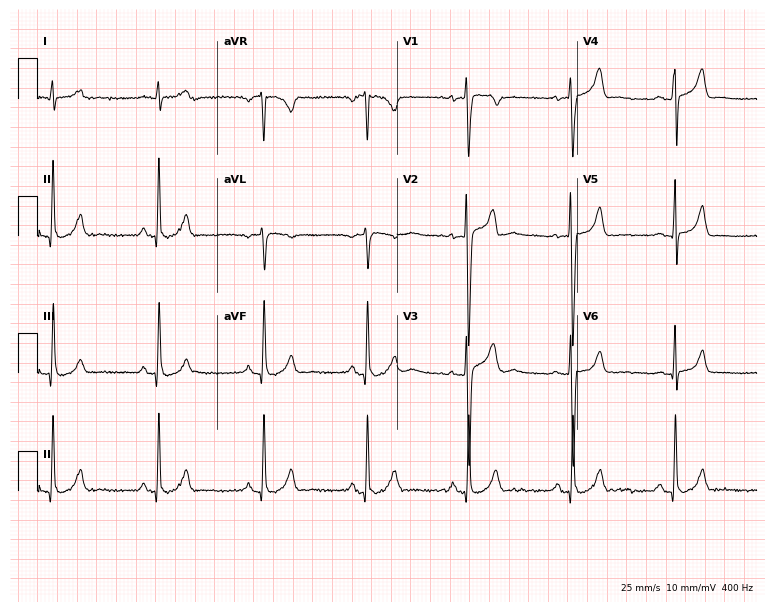
12-lead ECG from a male patient, 30 years old (7.3-second recording at 400 Hz). Recorded interpretation: within normal limits.